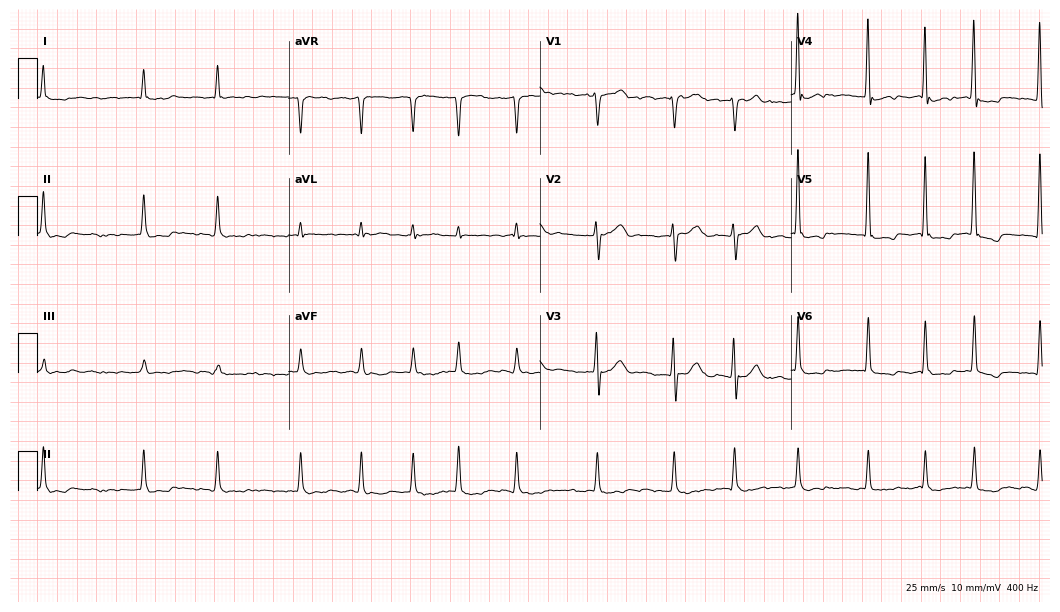
Electrocardiogram, a man, 70 years old. Interpretation includes atrial fibrillation (AF).